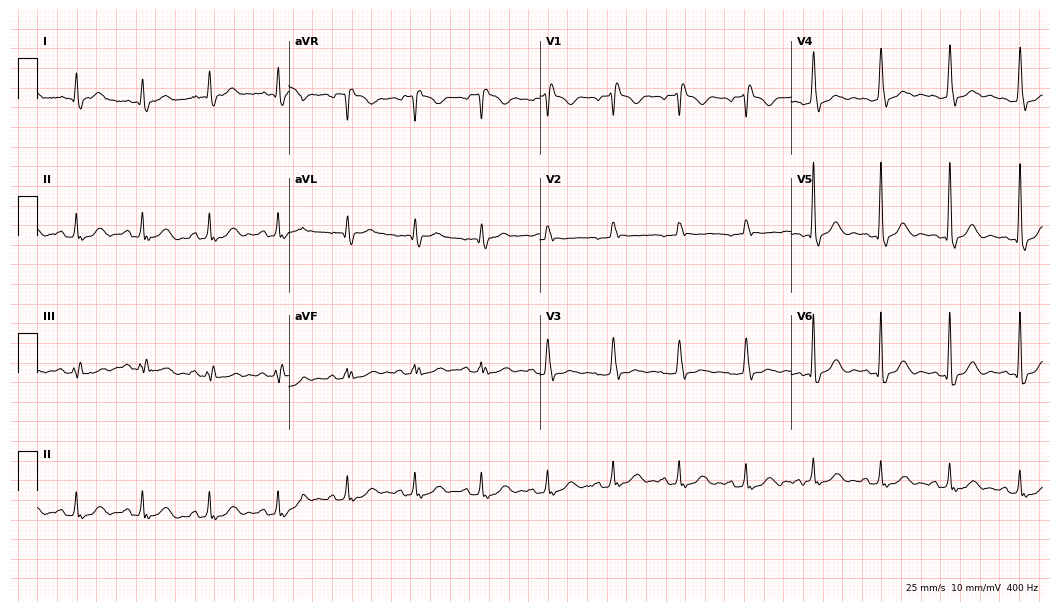
12-lead ECG from a 79-year-old male (10.2-second recording at 400 Hz). Shows right bundle branch block (RBBB).